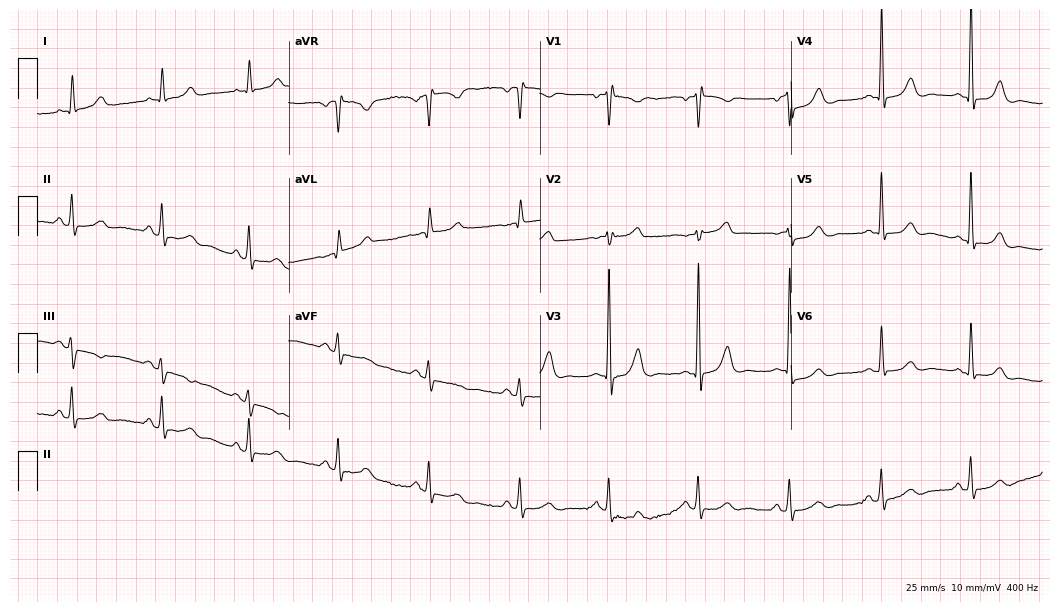
ECG — a 62-year-old female patient. Screened for six findings — first-degree AV block, right bundle branch block (RBBB), left bundle branch block (LBBB), sinus bradycardia, atrial fibrillation (AF), sinus tachycardia — none is recorded. Findings outside these six are not listed.